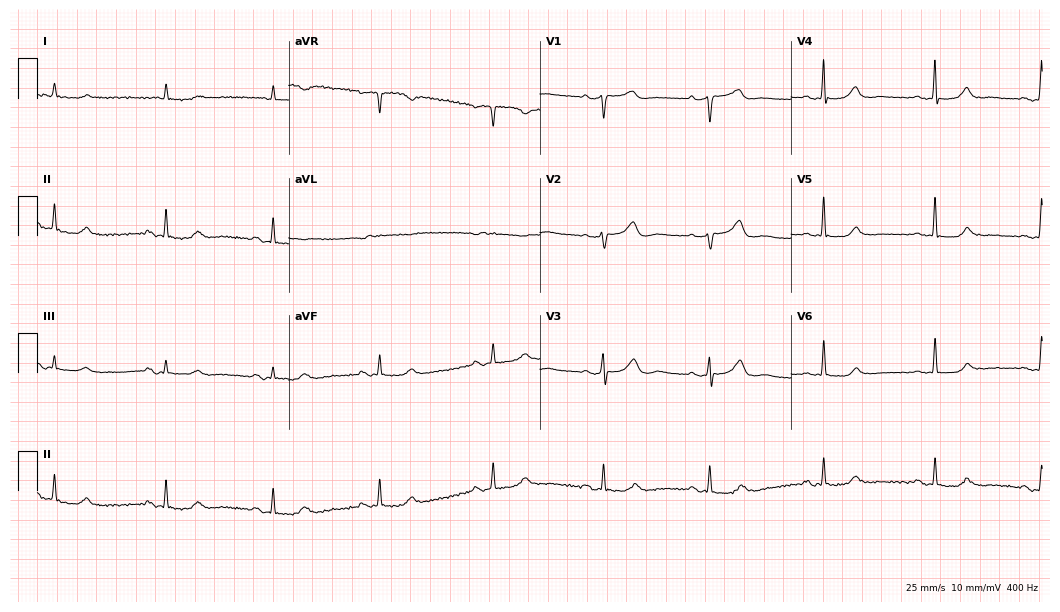
Electrocardiogram, a female, 83 years old. Of the six screened findings (first-degree AV block, right bundle branch block (RBBB), left bundle branch block (LBBB), sinus bradycardia, atrial fibrillation (AF), sinus tachycardia), none is recorded.